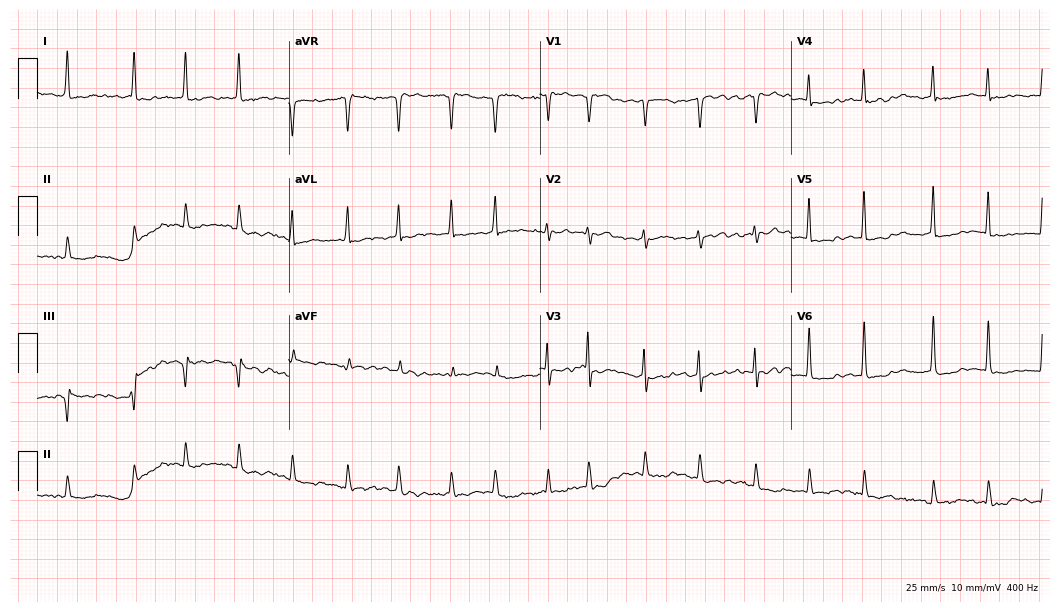
12-lead ECG from a 73-year-old woman. Shows atrial fibrillation (AF).